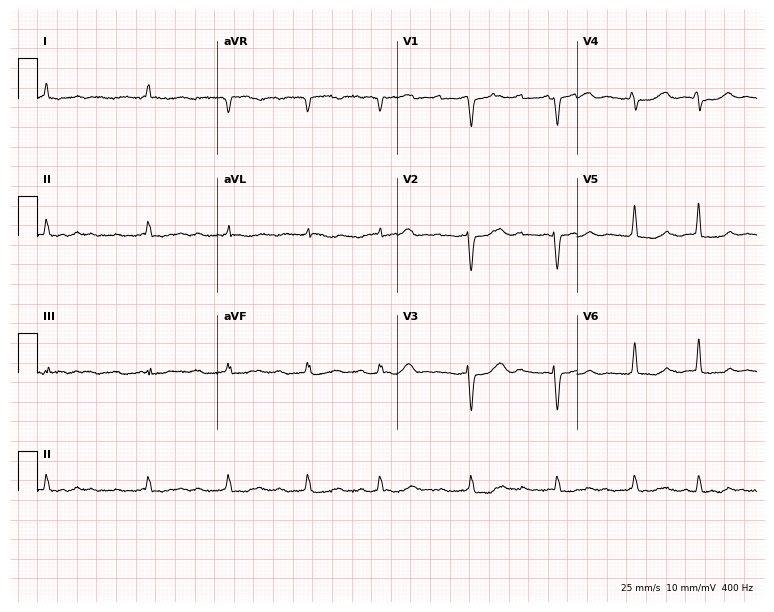
12-lead ECG (7.3-second recording at 400 Hz) from an 82-year-old male patient. Screened for six findings — first-degree AV block, right bundle branch block (RBBB), left bundle branch block (LBBB), sinus bradycardia, atrial fibrillation (AF), sinus tachycardia — none is recorded.